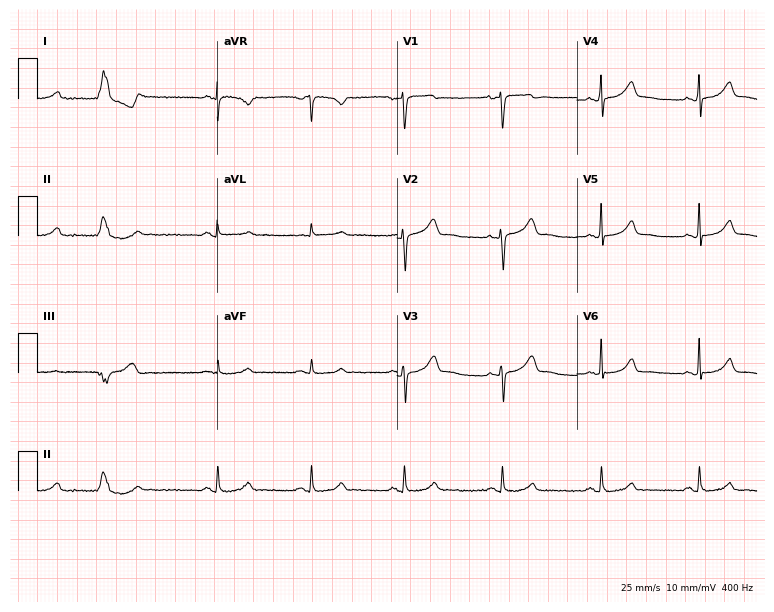
Standard 12-lead ECG recorded from a female patient, 50 years old. Read as a normal ECG.